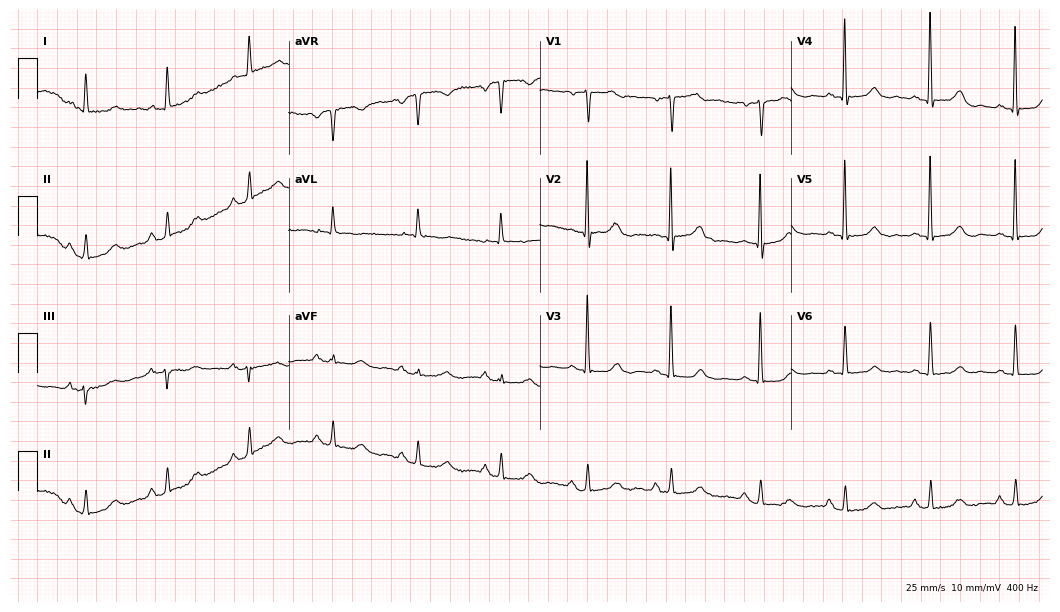
ECG — a woman, 80 years old. Labelled as a normal ECG.